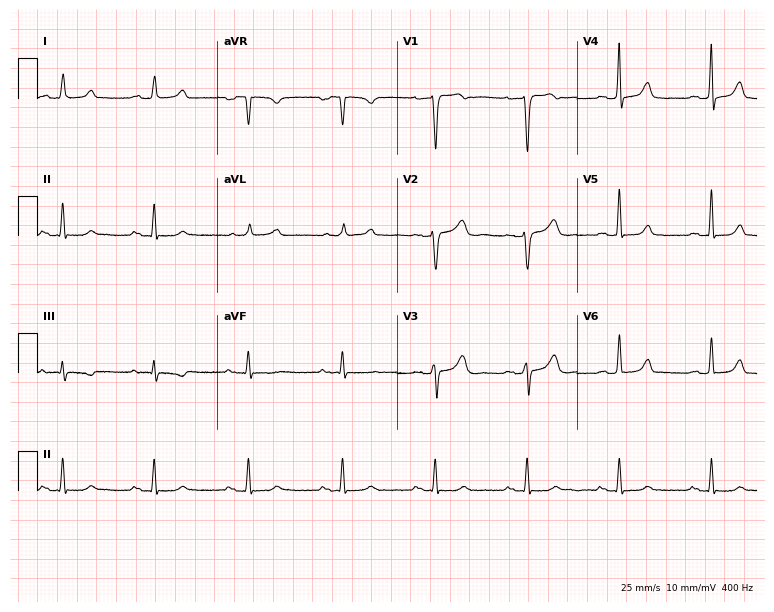
12-lead ECG from a female, 42 years old. Recorded interpretation: within normal limits.